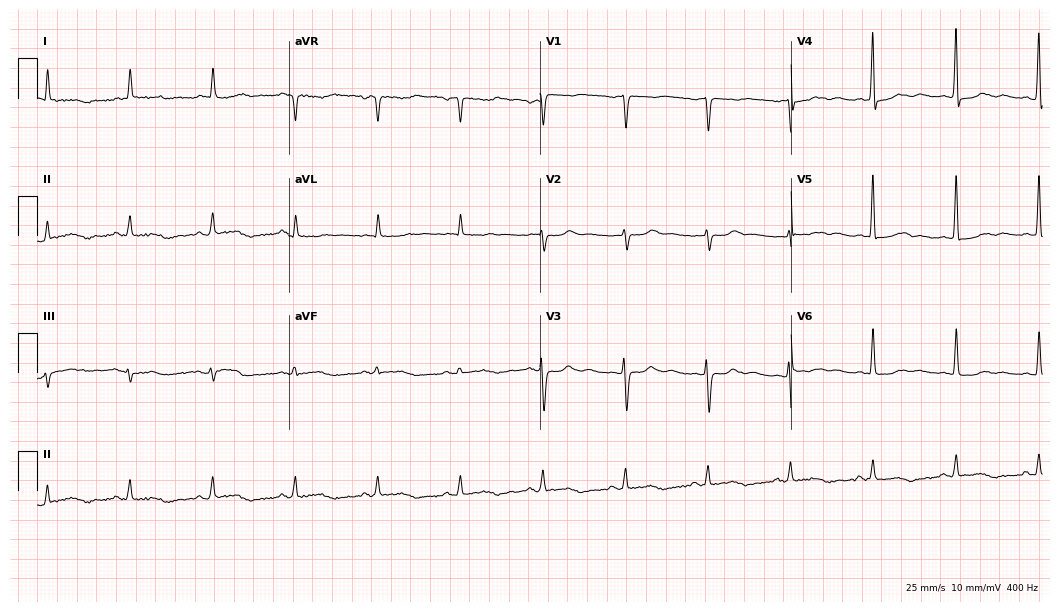
Electrocardiogram (10.2-second recording at 400 Hz), an 81-year-old woman. Overall reading on record: normal ECG.